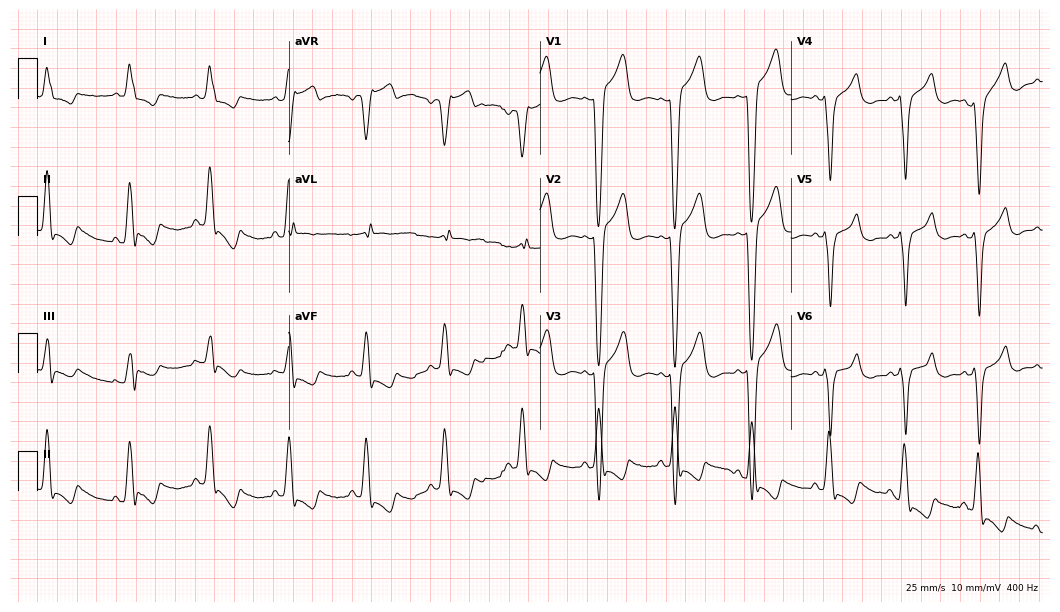
Electrocardiogram (10.2-second recording at 400 Hz), an 80-year-old female. Interpretation includes left bundle branch block (LBBB).